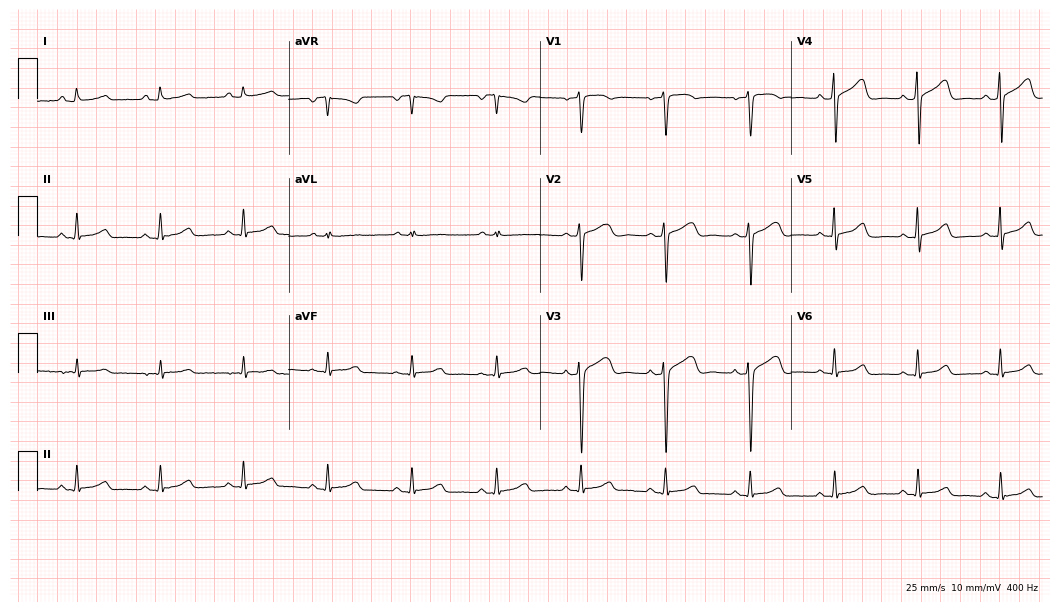
12-lead ECG from a woman, 44 years old. Recorded interpretation: within normal limits.